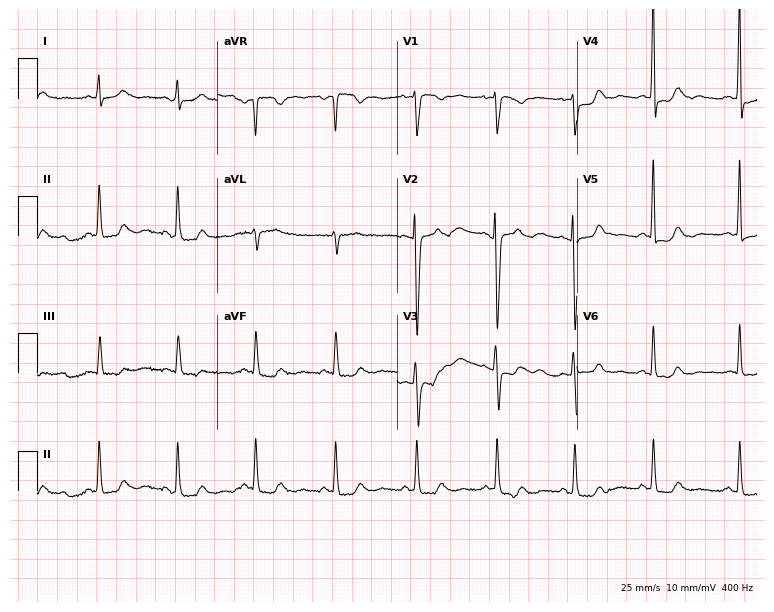
12-lead ECG from a 47-year-old female. Screened for six findings — first-degree AV block, right bundle branch block, left bundle branch block, sinus bradycardia, atrial fibrillation, sinus tachycardia — none is recorded.